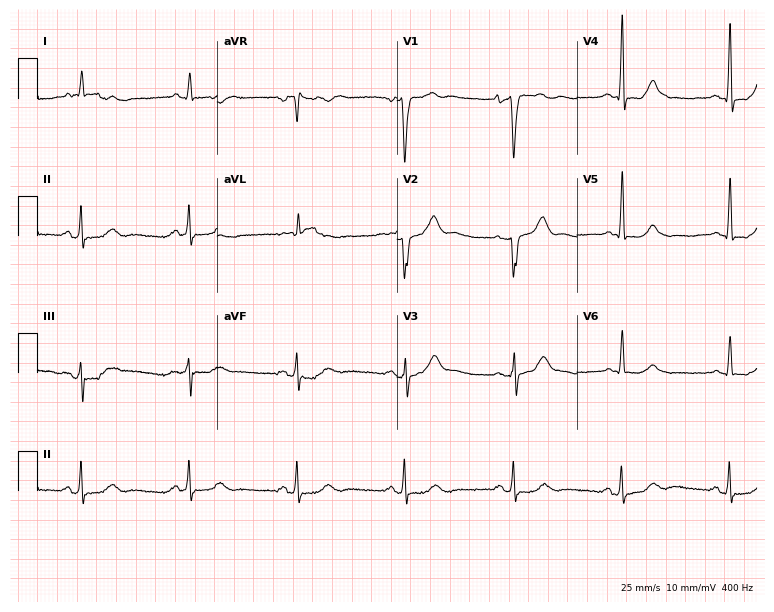
12-lead ECG from an 83-year-old male patient. Labelled as a normal ECG.